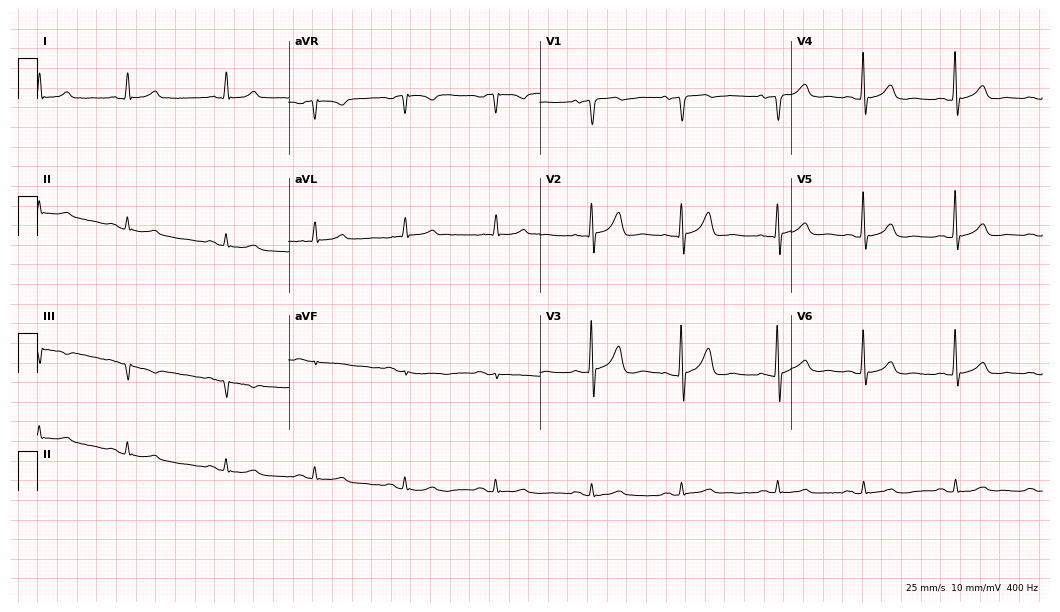
Resting 12-lead electrocardiogram. Patient: a male, 87 years old. None of these six findings is recorded: first-degree AV block, right bundle branch block (RBBB), left bundle branch block (LBBB), sinus bradycardia, atrial fibrillation (AF), sinus tachycardia. Findings outside these six are not listed.